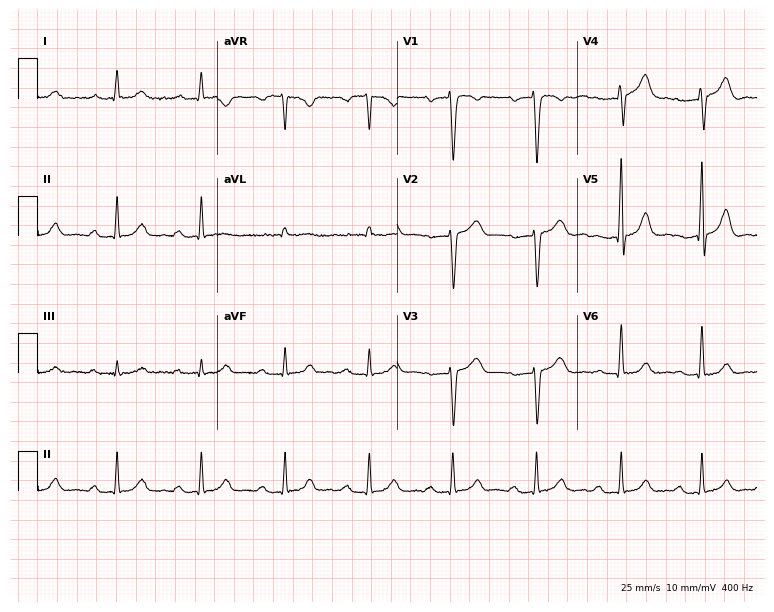
12-lead ECG (7.3-second recording at 400 Hz) from a male patient, 46 years old. Findings include first-degree AV block.